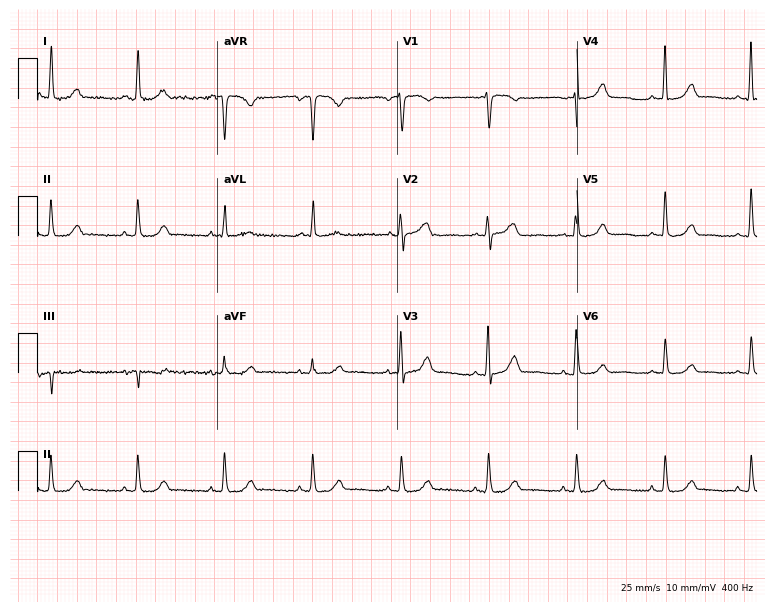
ECG — a woman, 67 years old. Labelled as a normal ECG.